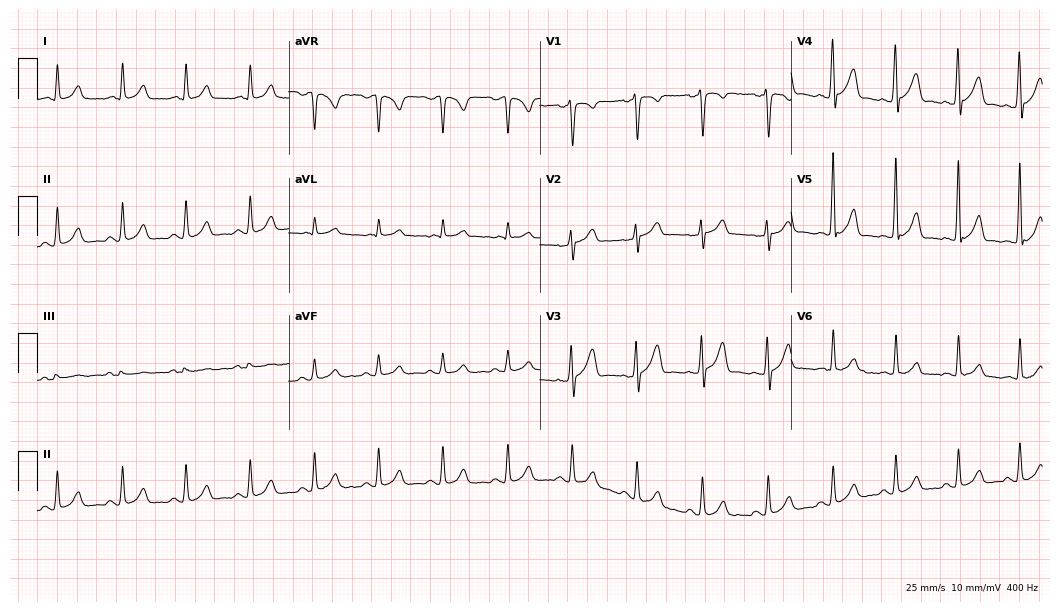
12-lead ECG from a 28-year-old man. Recorded interpretation: within normal limits.